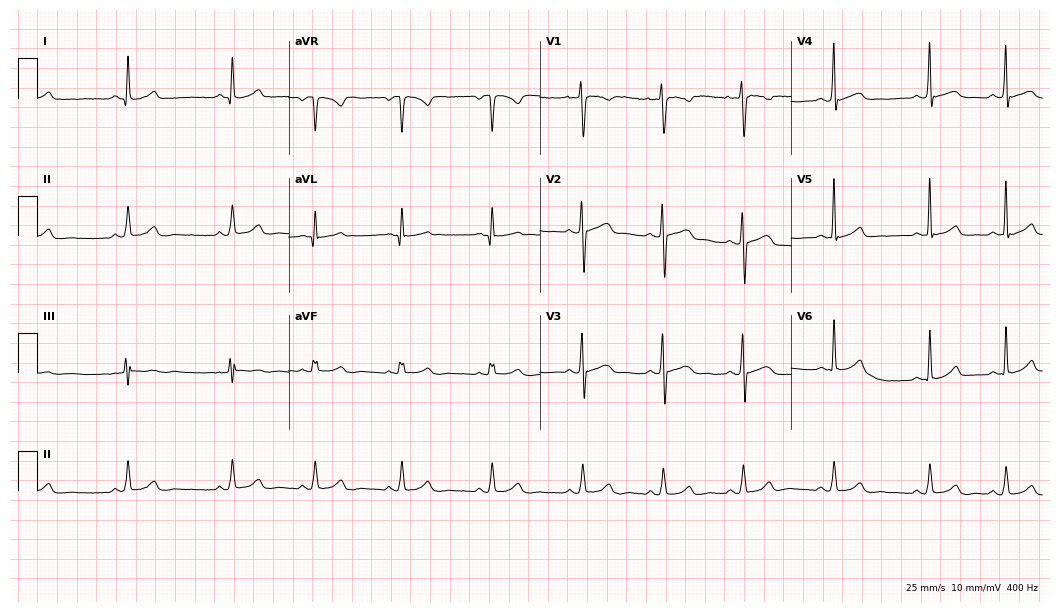
Standard 12-lead ECG recorded from a 26-year-old female patient. None of these six findings is recorded: first-degree AV block, right bundle branch block (RBBB), left bundle branch block (LBBB), sinus bradycardia, atrial fibrillation (AF), sinus tachycardia. Findings outside these six are not listed.